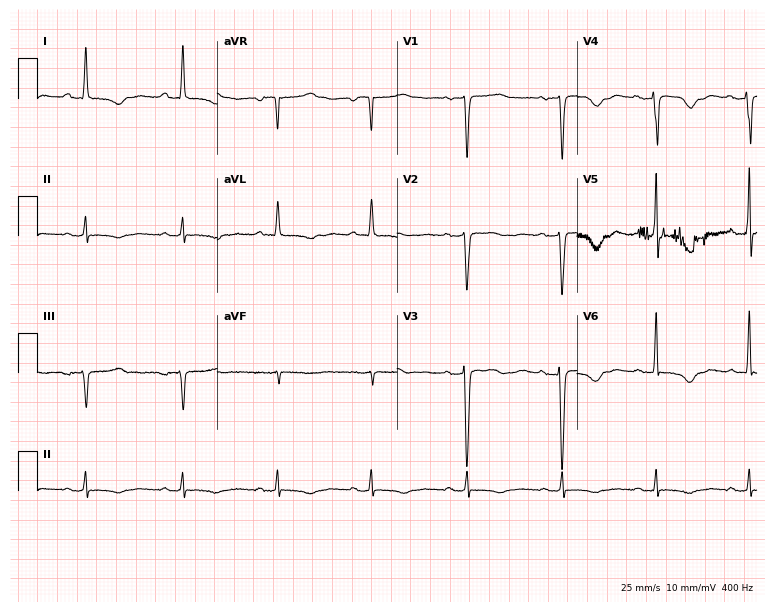
Standard 12-lead ECG recorded from a female patient, 59 years old (7.3-second recording at 400 Hz). None of these six findings is recorded: first-degree AV block, right bundle branch block, left bundle branch block, sinus bradycardia, atrial fibrillation, sinus tachycardia. Findings outside these six are not listed.